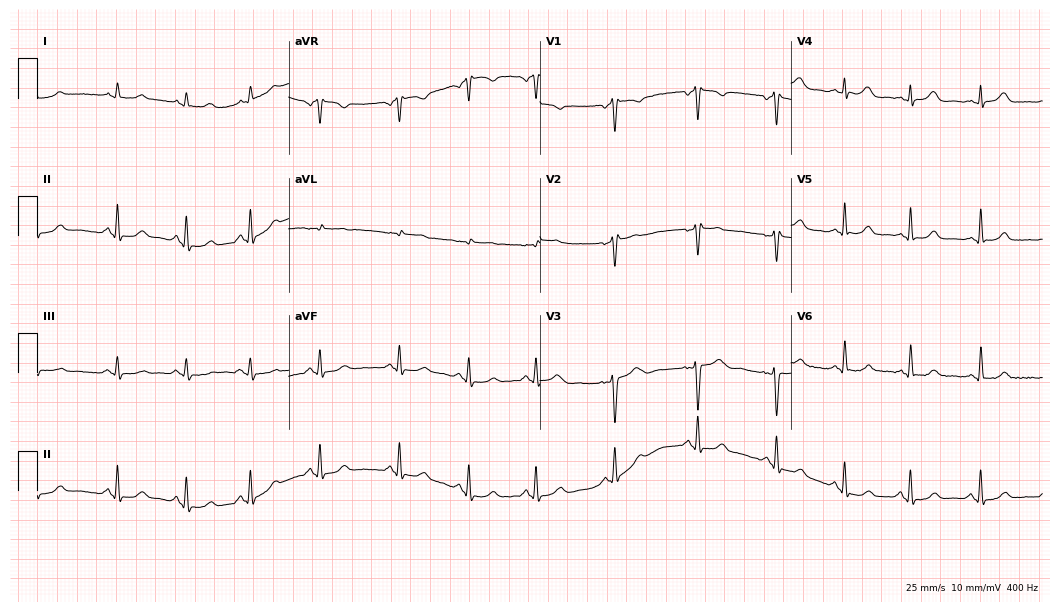
12-lead ECG (10.2-second recording at 400 Hz) from a 40-year-old female patient. Screened for six findings — first-degree AV block, right bundle branch block, left bundle branch block, sinus bradycardia, atrial fibrillation, sinus tachycardia — none is recorded.